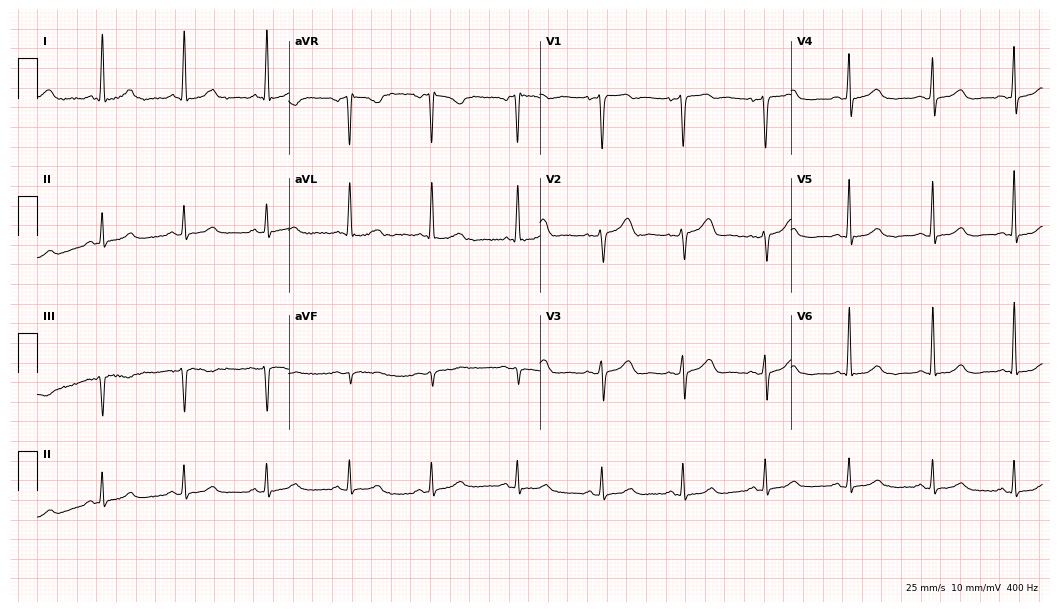
ECG (10.2-second recording at 400 Hz) — a woman, 60 years old. Labelled as a normal ECG.